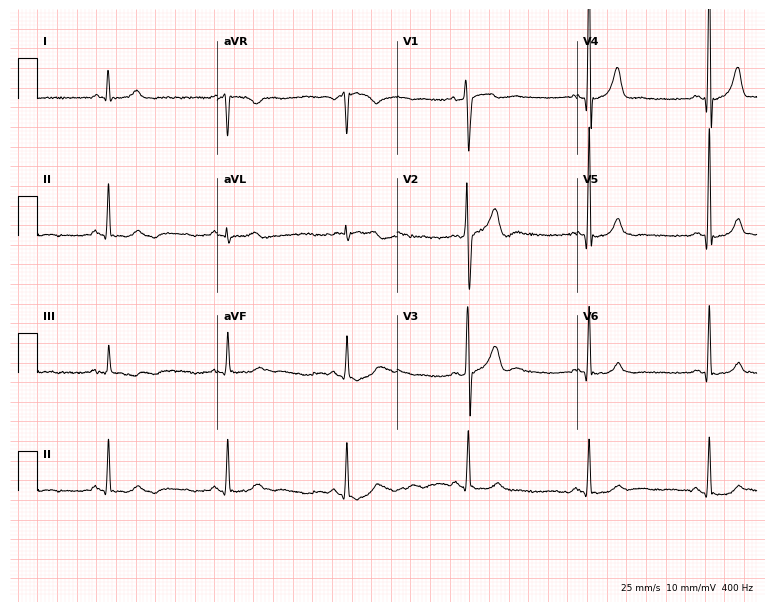
ECG (7.3-second recording at 400 Hz) — a man, 49 years old. Screened for six findings — first-degree AV block, right bundle branch block (RBBB), left bundle branch block (LBBB), sinus bradycardia, atrial fibrillation (AF), sinus tachycardia — none is recorded.